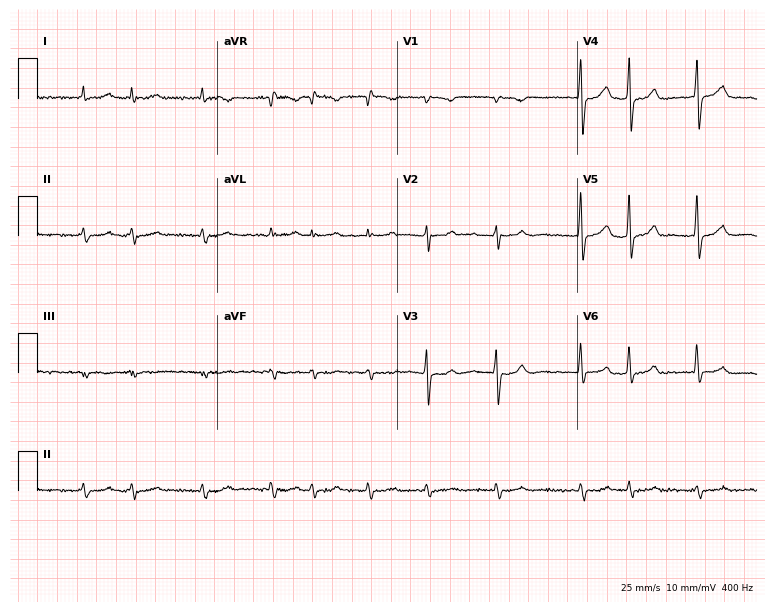
12-lead ECG from a 71-year-old male (7.3-second recording at 400 Hz). Shows atrial fibrillation.